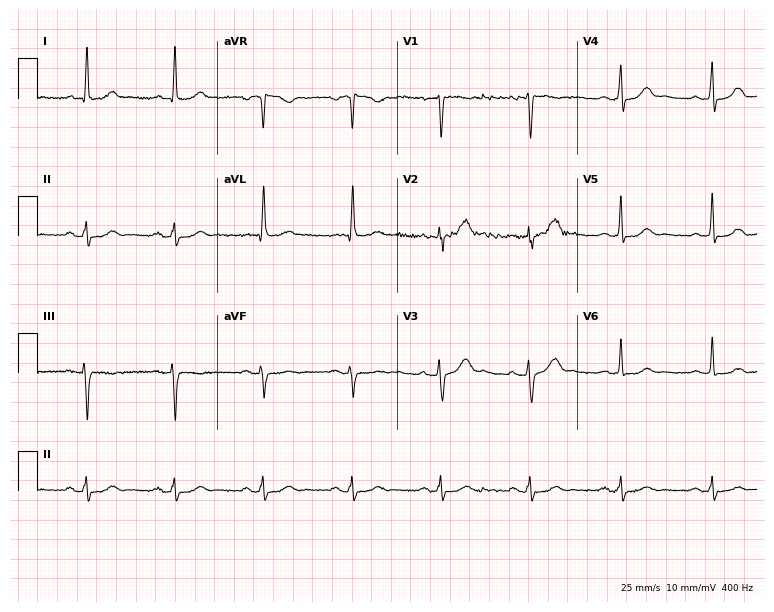
12-lead ECG from a 63-year-old male (7.3-second recording at 400 Hz). Recorded interpretation: within normal limits.